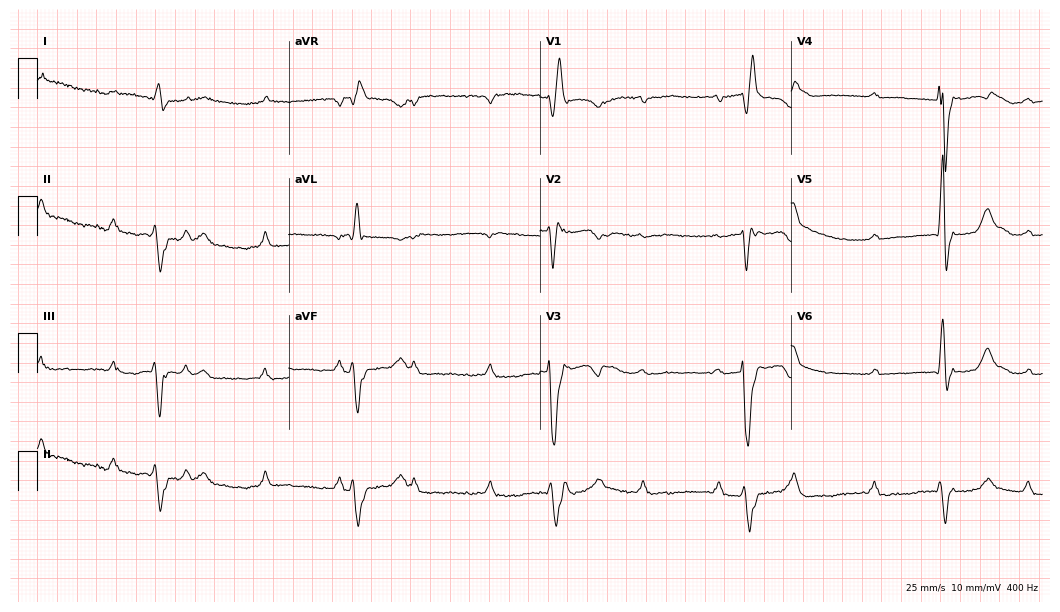
Resting 12-lead electrocardiogram. Patient: a 69-year-old male. The tracing shows right bundle branch block.